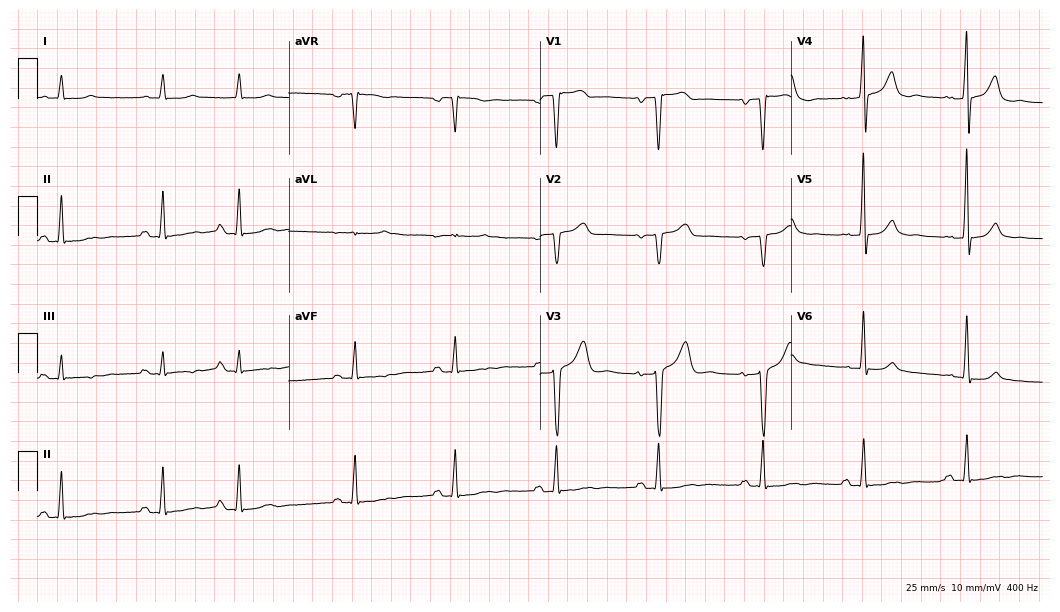
Electrocardiogram (10.2-second recording at 400 Hz), a 68-year-old male patient. Of the six screened findings (first-degree AV block, right bundle branch block (RBBB), left bundle branch block (LBBB), sinus bradycardia, atrial fibrillation (AF), sinus tachycardia), none is recorded.